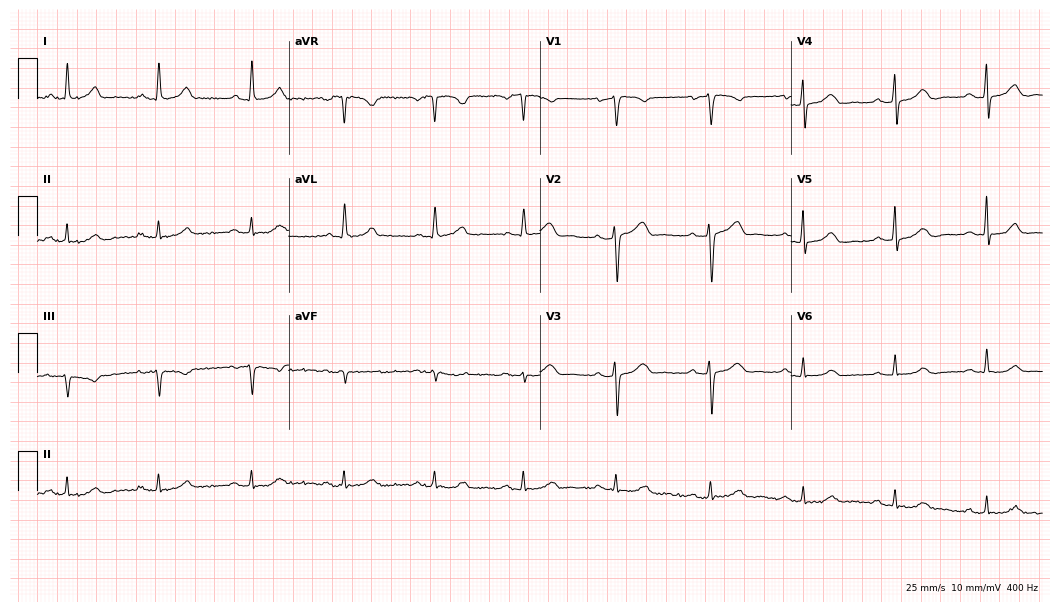
Resting 12-lead electrocardiogram (10.2-second recording at 400 Hz). Patient: a woman, 74 years old. Read as a normal ECG.